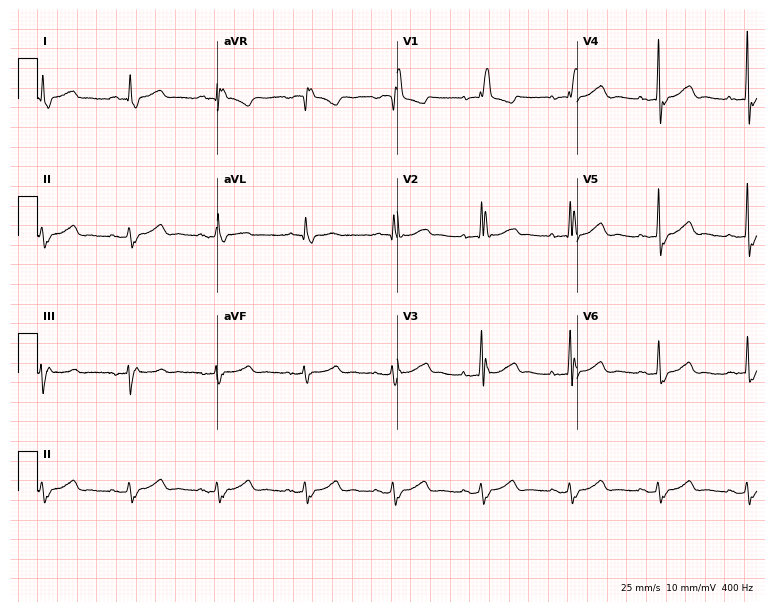
12-lead ECG from a man, 81 years old (7.3-second recording at 400 Hz). Shows right bundle branch block.